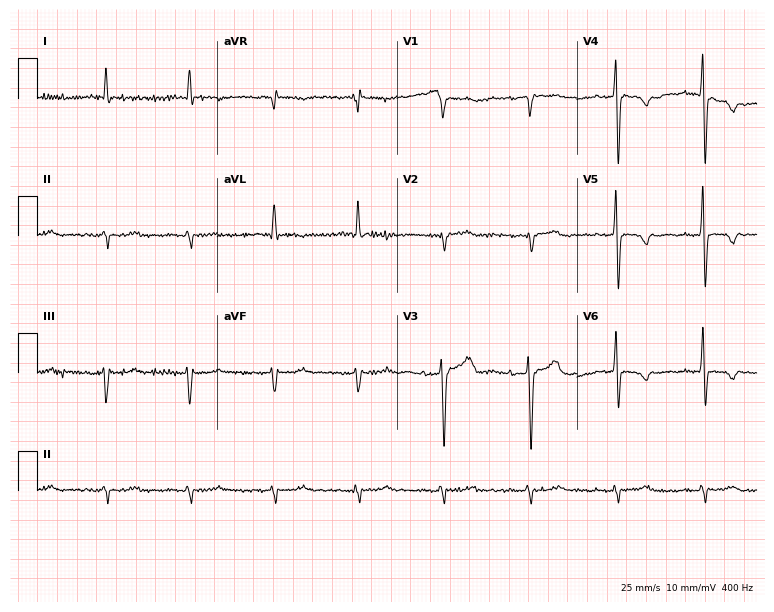
Electrocardiogram (7.3-second recording at 400 Hz), a 68-year-old female patient. Of the six screened findings (first-degree AV block, right bundle branch block, left bundle branch block, sinus bradycardia, atrial fibrillation, sinus tachycardia), none is recorded.